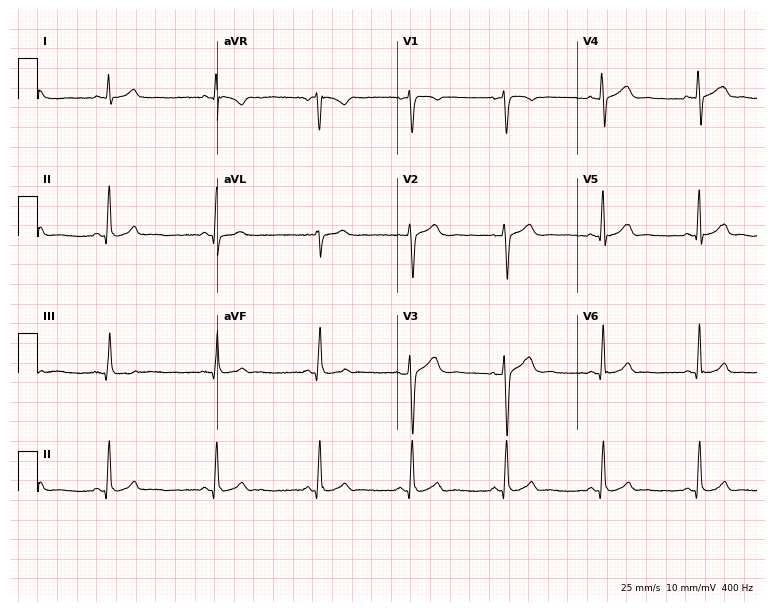
Standard 12-lead ECG recorded from a 45-year-old man. None of these six findings is recorded: first-degree AV block, right bundle branch block, left bundle branch block, sinus bradycardia, atrial fibrillation, sinus tachycardia. Only these six findings were labelled.